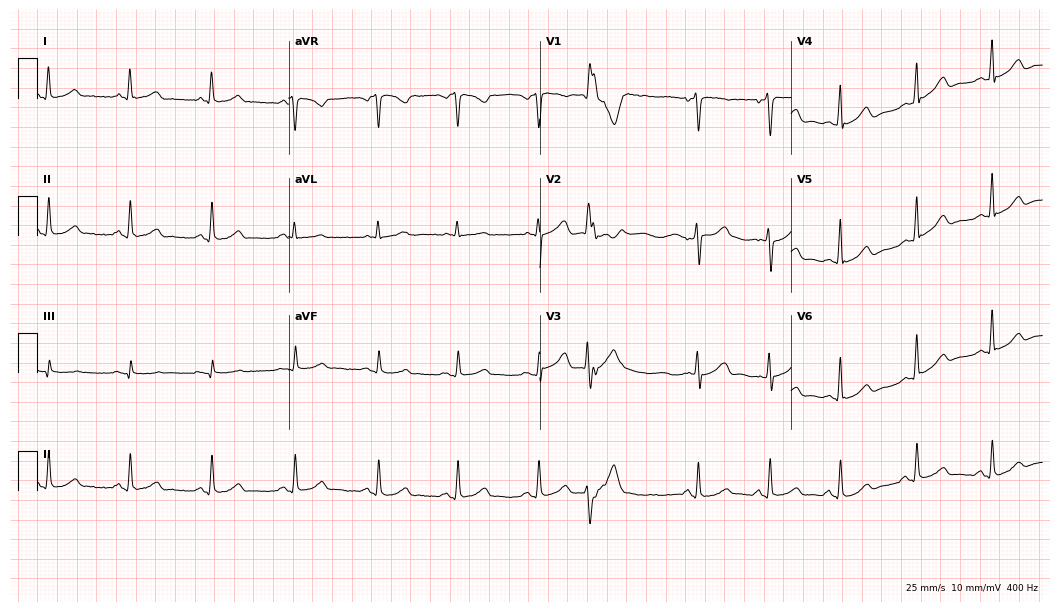
Electrocardiogram (10.2-second recording at 400 Hz), a female patient, 43 years old. Overall reading on record: normal ECG.